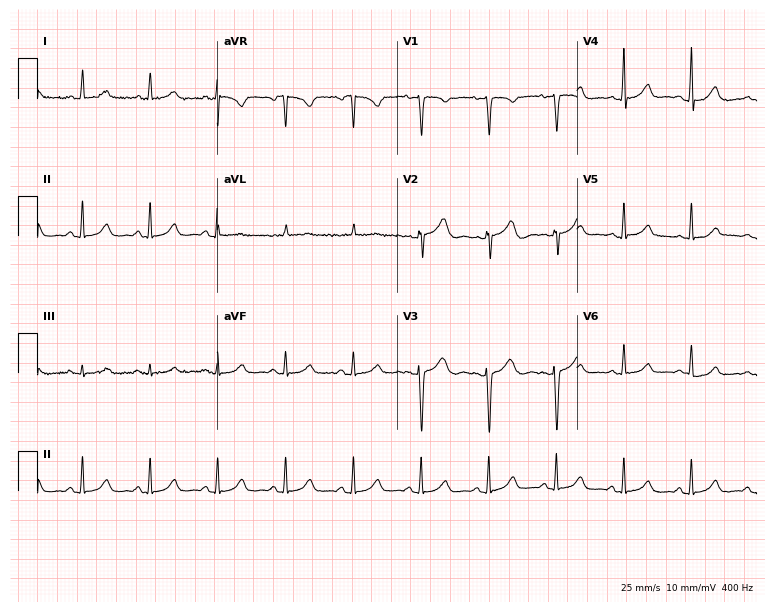
12-lead ECG (7.3-second recording at 400 Hz) from a female, 34 years old. Labelled as a normal ECG.